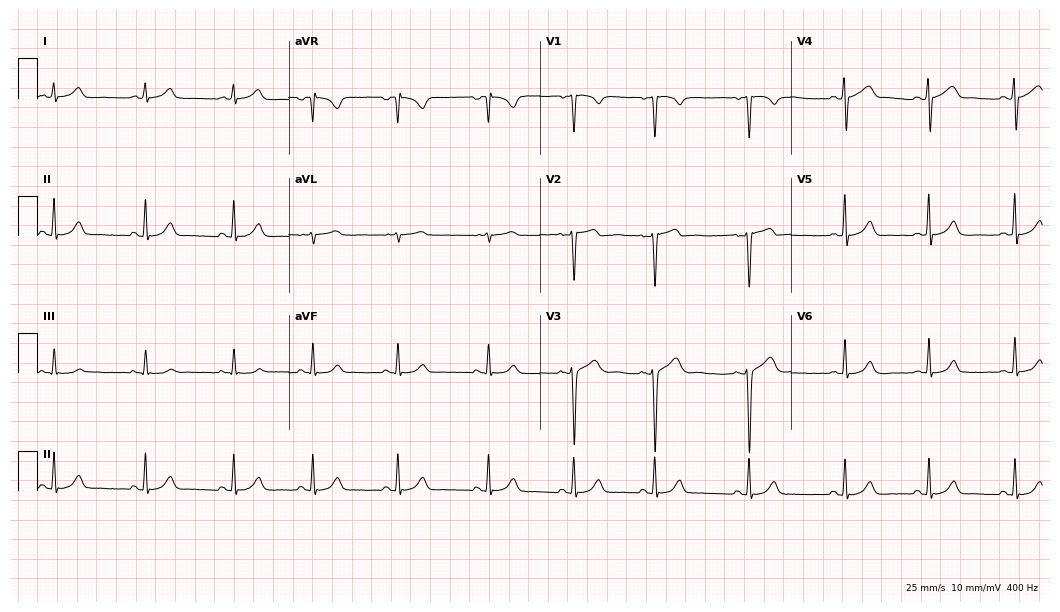
12-lead ECG from a 23-year-old male patient. Labelled as a normal ECG.